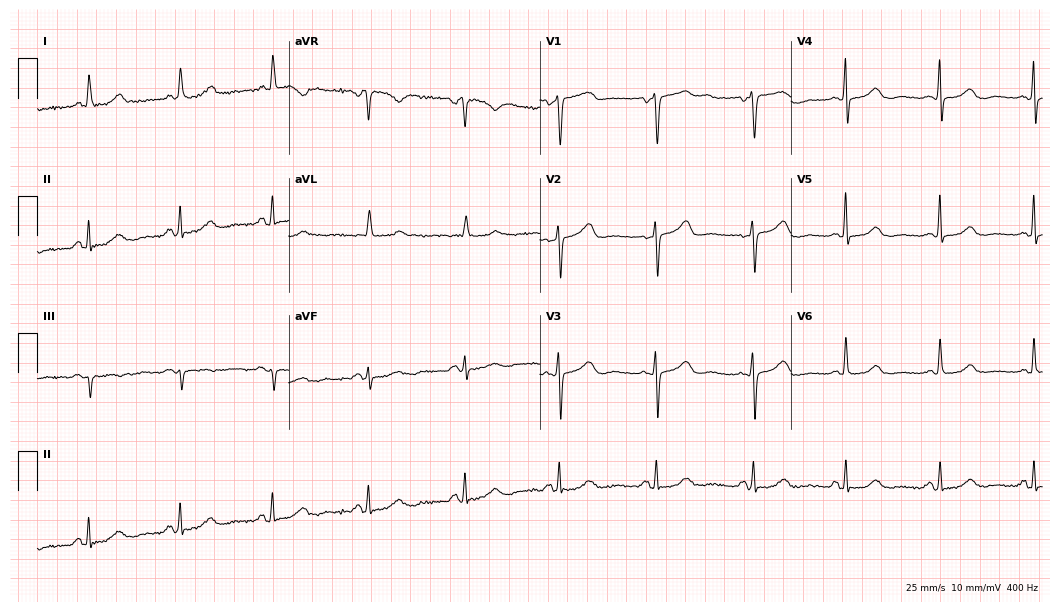
12-lead ECG from a female patient, 72 years old. Recorded interpretation: within normal limits.